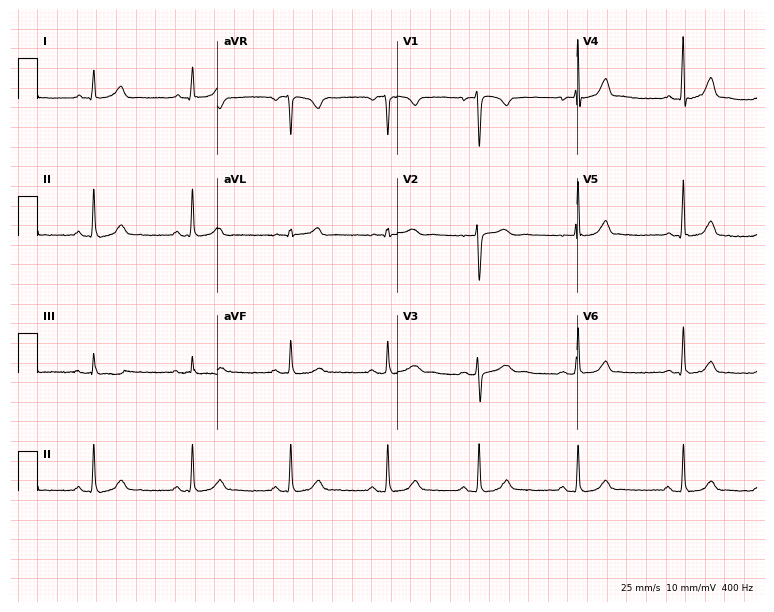
ECG (7.3-second recording at 400 Hz) — a woman, 33 years old. Labelled as a normal ECG.